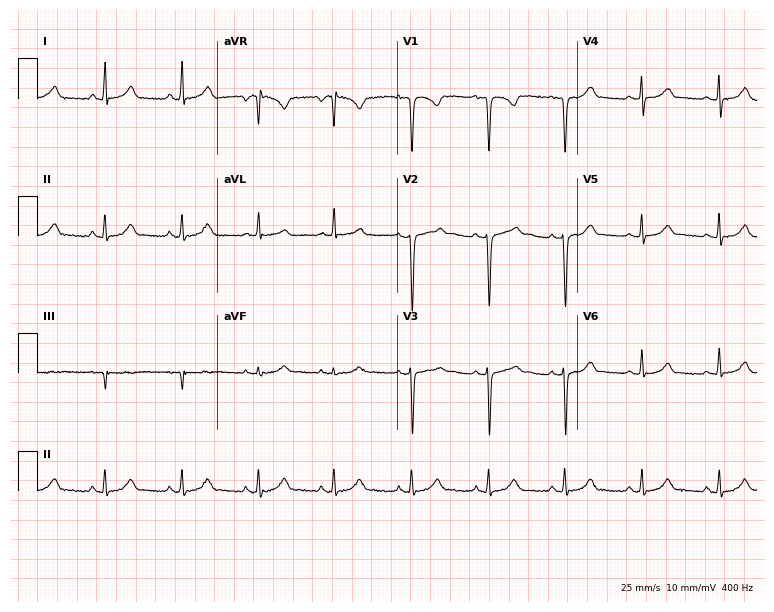
Electrocardiogram, a female patient, 26 years old. Of the six screened findings (first-degree AV block, right bundle branch block, left bundle branch block, sinus bradycardia, atrial fibrillation, sinus tachycardia), none is recorded.